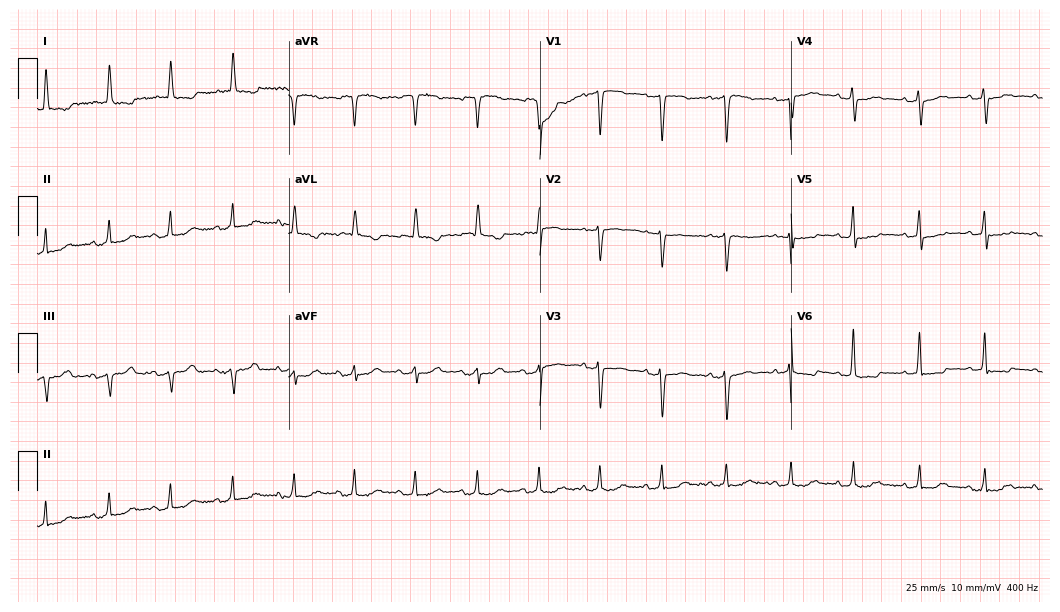
Resting 12-lead electrocardiogram (10.2-second recording at 400 Hz). Patient: a woman, 79 years old. None of these six findings is recorded: first-degree AV block, right bundle branch block, left bundle branch block, sinus bradycardia, atrial fibrillation, sinus tachycardia. Other findings, if any, are not listed.